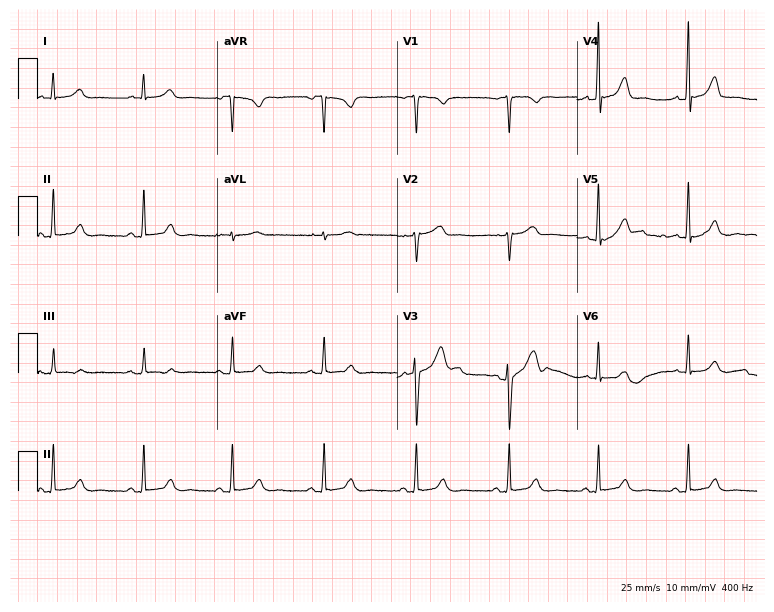
ECG (7.3-second recording at 400 Hz) — a 58-year-old female patient. Labelled as a normal ECG.